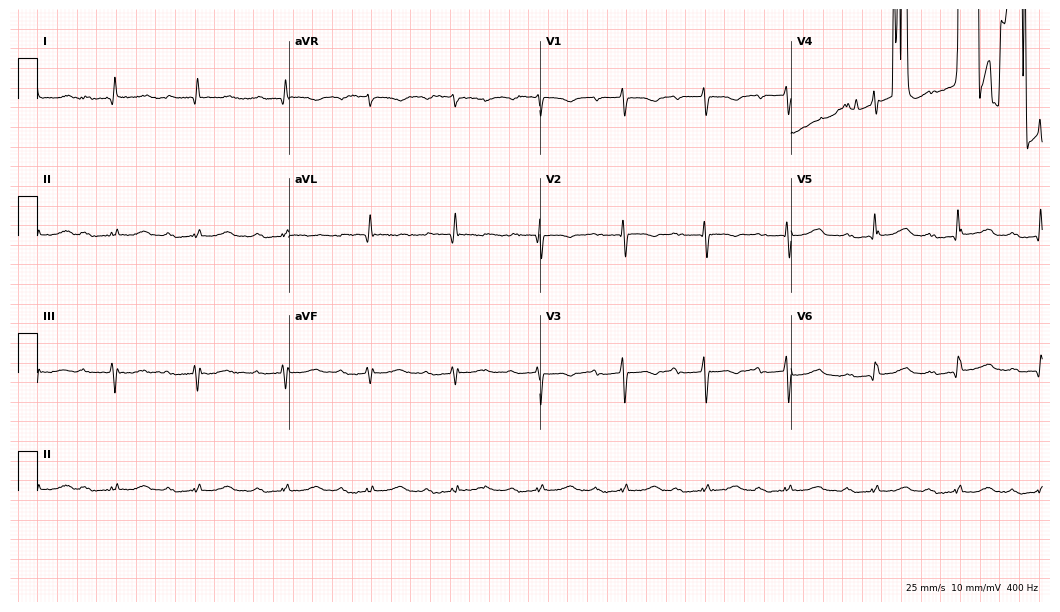
Standard 12-lead ECG recorded from a female, 75 years old (10.2-second recording at 400 Hz). None of these six findings is recorded: first-degree AV block, right bundle branch block, left bundle branch block, sinus bradycardia, atrial fibrillation, sinus tachycardia.